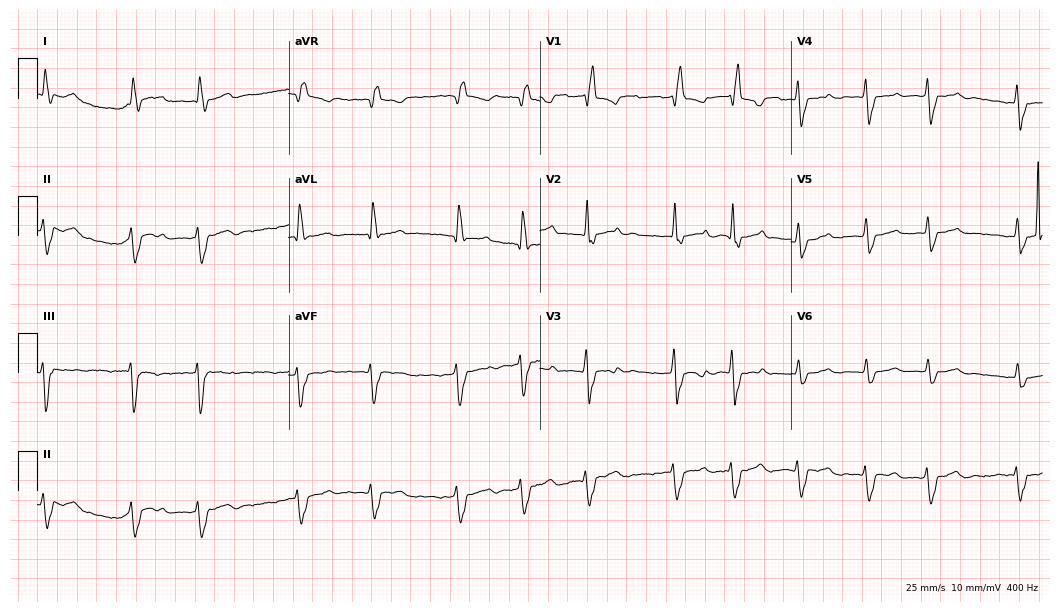
Resting 12-lead electrocardiogram. Patient: a woman, 76 years old. The tracing shows right bundle branch block, atrial fibrillation.